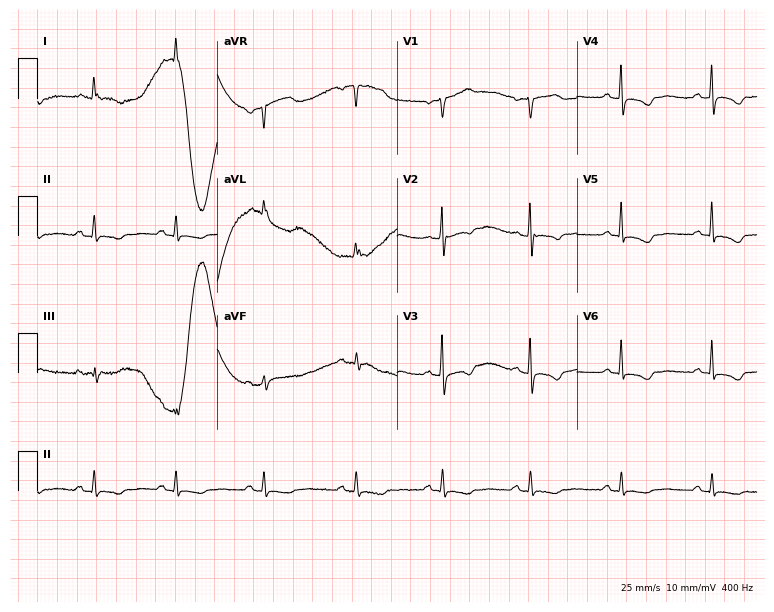
12-lead ECG from a 70-year-old woman (7.3-second recording at 400 Hz). No first-degree AV block, right bundle branch block, left bundle branch block, sinus bradycardia, atrial fibrillation or sinus tachycardia recorded for this tracing.